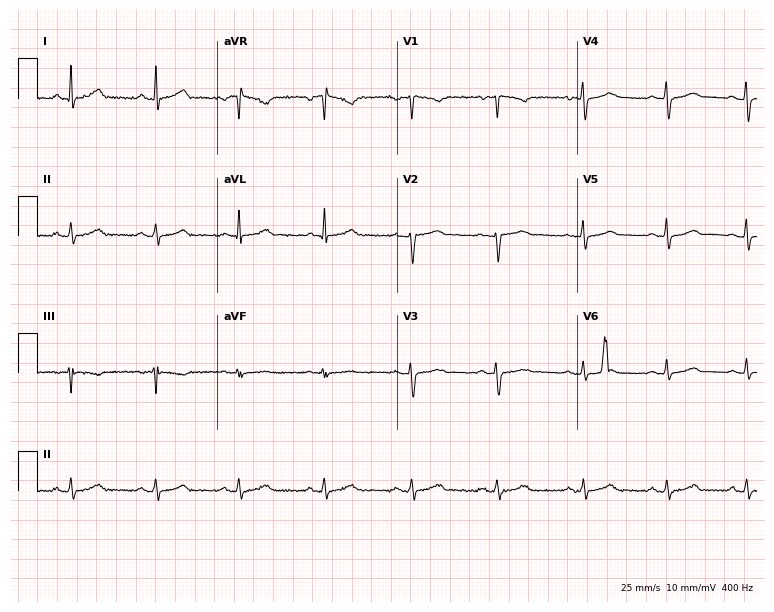
12-lead ECG from a 66-year-old female patient (7.3-second recording at 400 Hz). Recorded interpretation: within normal limits.